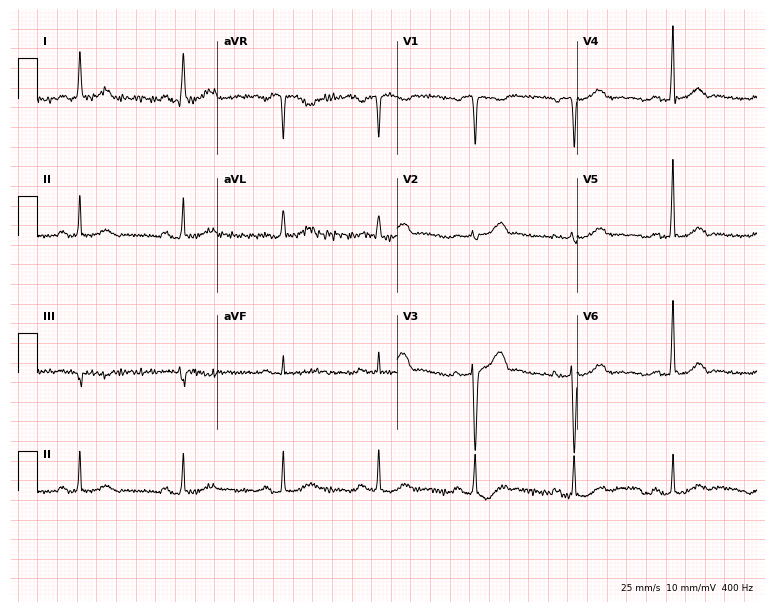
12-lead ECG (7.3-second recording at 400 Hz) from a 52-year-old man. Screened for six findings — first-degree AV block, right bundle branch block, left bundle branch block, sinus bradycardia, atrial fibrillation, sinus tachycardia — none is recorded. Findings outside these six are not listed.